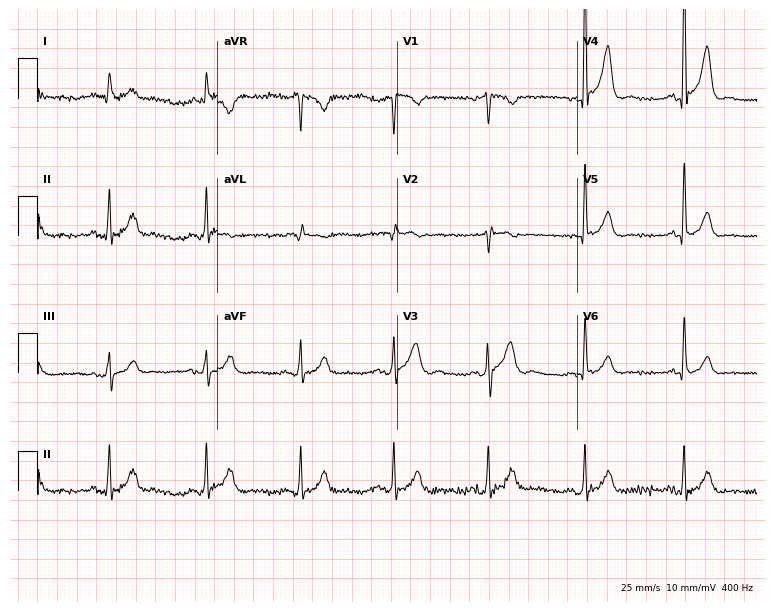
Electrocardiogram, a male, 72 years old. Of the six screened findings (first-degree AV block, right bundle branch block, left bundle branch block, sinus bradycardia, atrial fibrillation, sinus tachycardia), none is recorded. Findings outside these six are not listed.